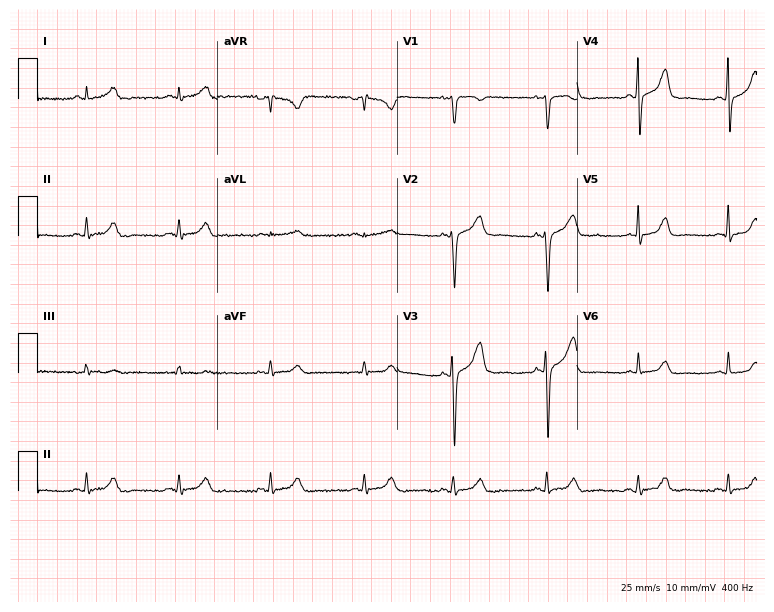
12-lead ECG from a 40-year-old female patient. Recorded interpretation: within normal limits.